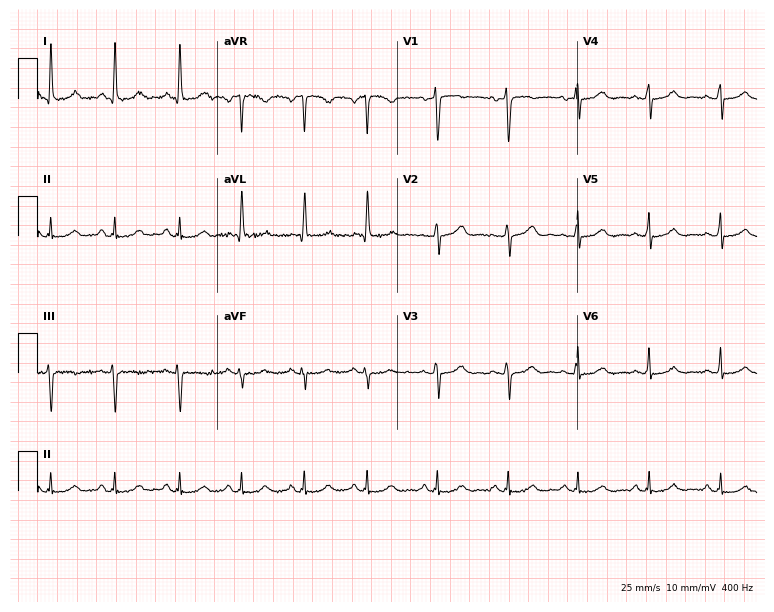
Resting 12-lead electrocardiogram (7.3-second recording at 400 Hz). Patient: a 53-year-old female. Read as a normal ECG.